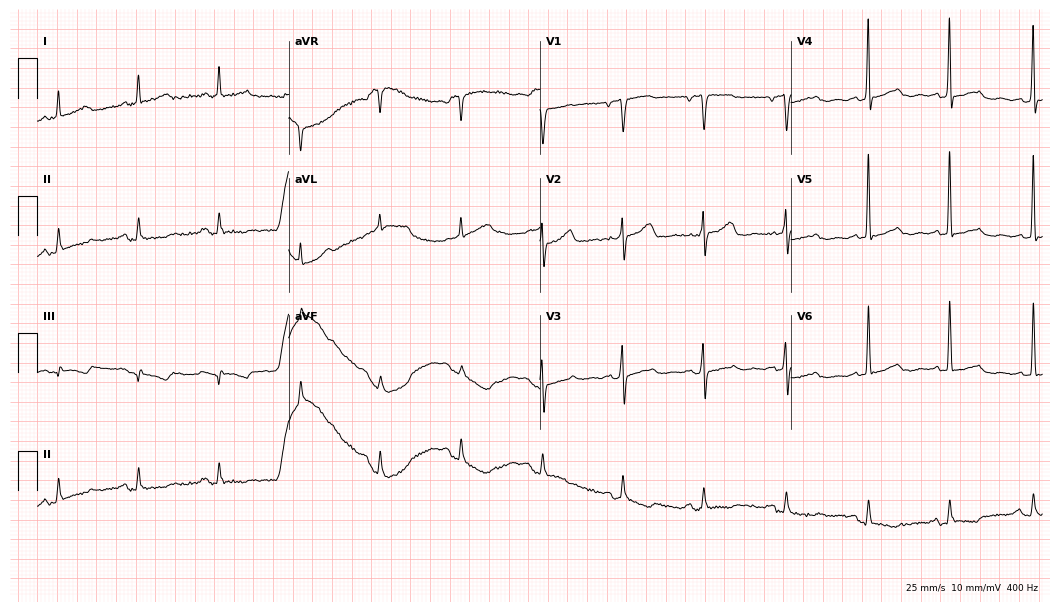
12-lead ECG from a female patient, 73 years old. No first-degree AV block, right bundle branch block (RBBB), left bundle branch block (LBBB), sinus bradycardia, atrial fibrillation (AF) or sinus tachycardia recorded for this tracing.